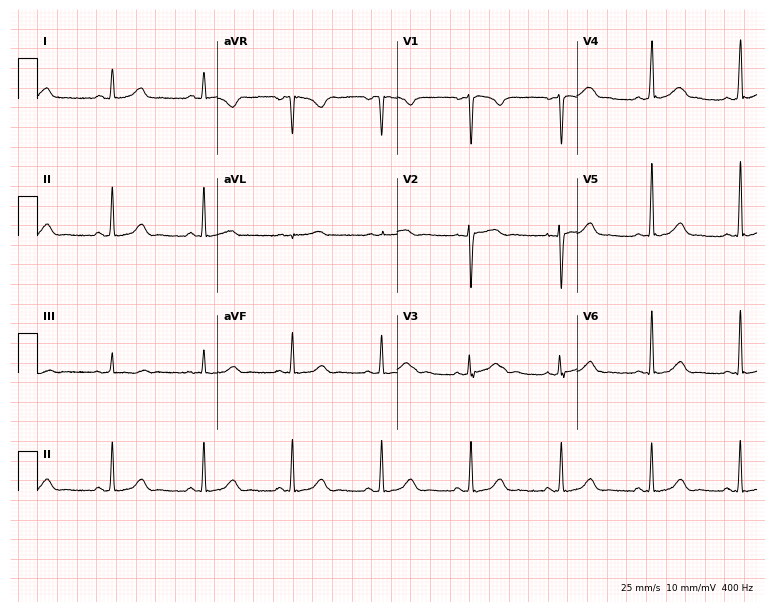
12-lead ECG (7.3-second recording at 400 Hz) from a woman, 36 years old. Labelled as a normal ECG.